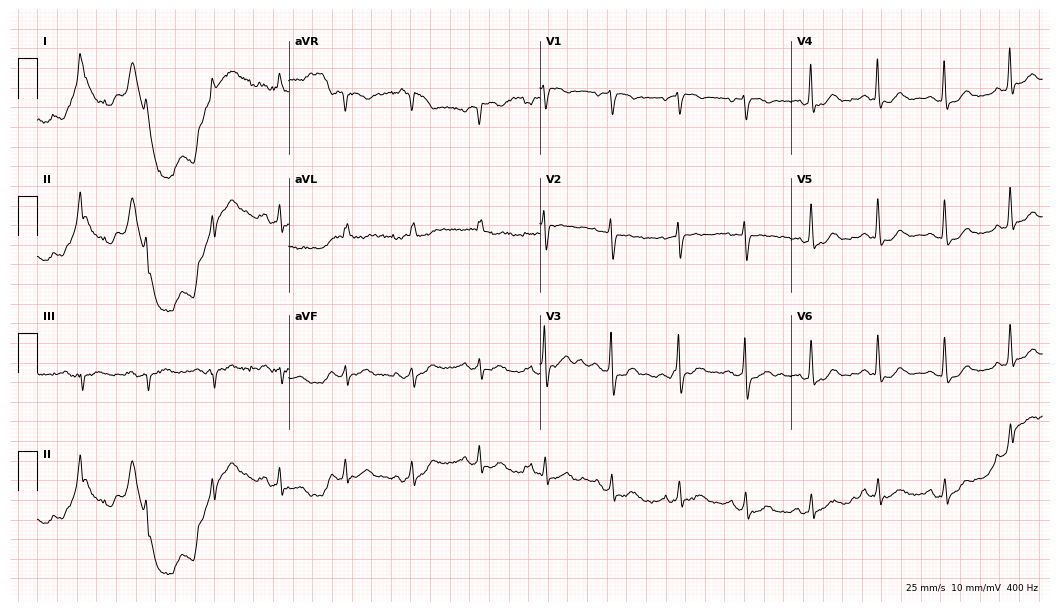
ECG (10.2-second recording at 400 Hz) — a female patient, 77 years old. Screened for six findings — first-degree AV block, right bundle branch block (RBBB), left bundle branch block (LBBB), sinus bradycardia, atrial fibrillation (AF), sinus tachycardia — none is recorded. Only these six findings were labelled.